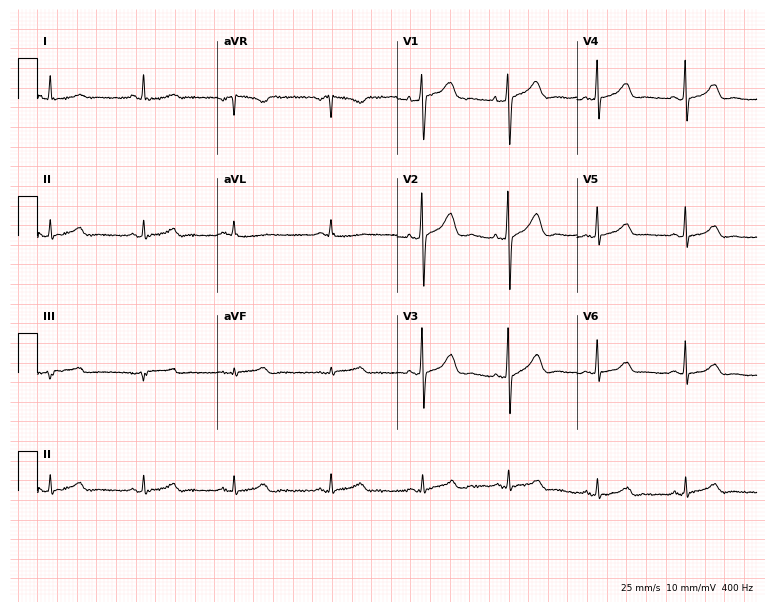
12-lead ECG (7.3-second recording at 400 Hz) from a 45-year-old female patient. Screened for six findings — first-degree AV block, right bundle branch block, left bundle branch block, sinus bradycardia, atrial fibrillation, sinus tachycardia — none is recorded. Only these six findings were labelled.